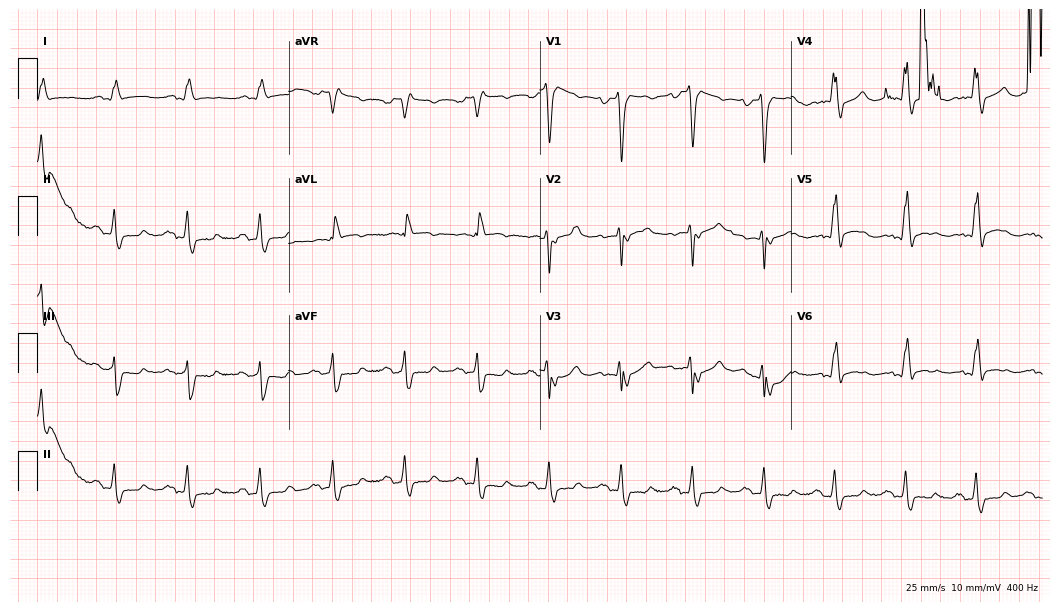
12-lead ECG from a male patient, 59 years old (10.2-second recording at 400 Hz). Shows left bundle branch block.